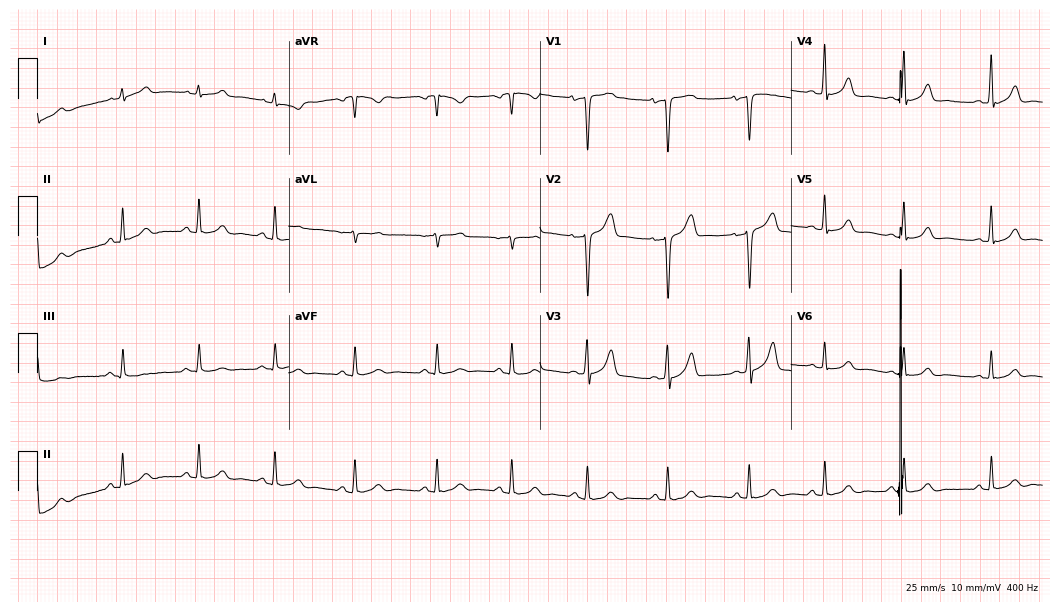
ECG (10.2-second recording at 400 Hz) — a female, 27 years old. Labelled as a normal ECG.